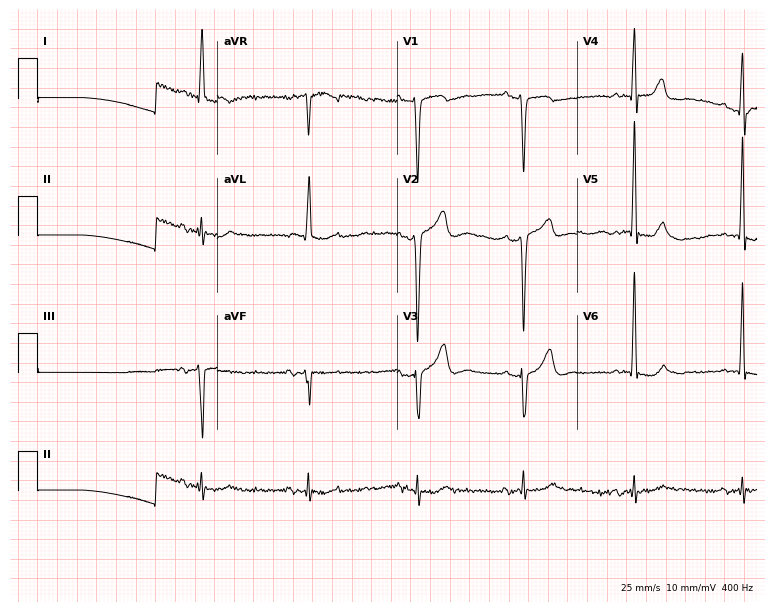
Electrocardiogram, an 83-year-old man. Overall reading on record: normal ECG.